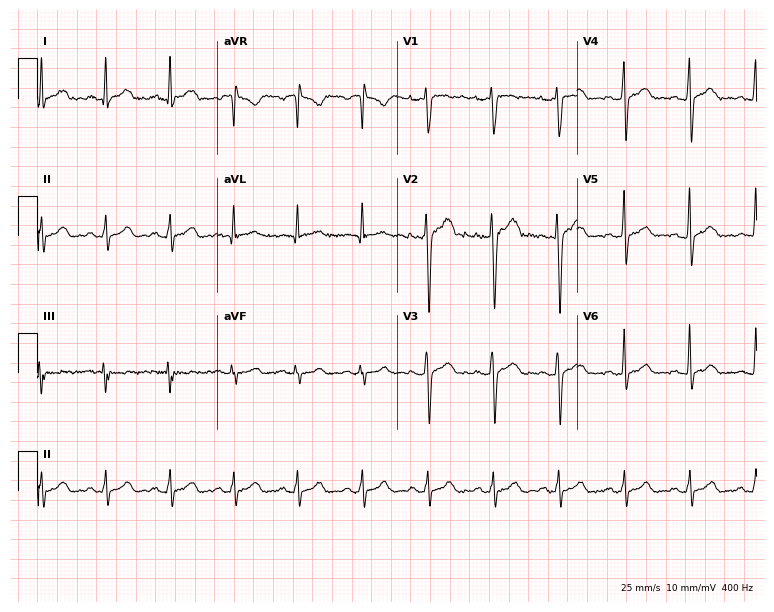
ECG (7.3-second recording at 400 Hz) — a male, 26 years old. Labelled as a normal ECG.